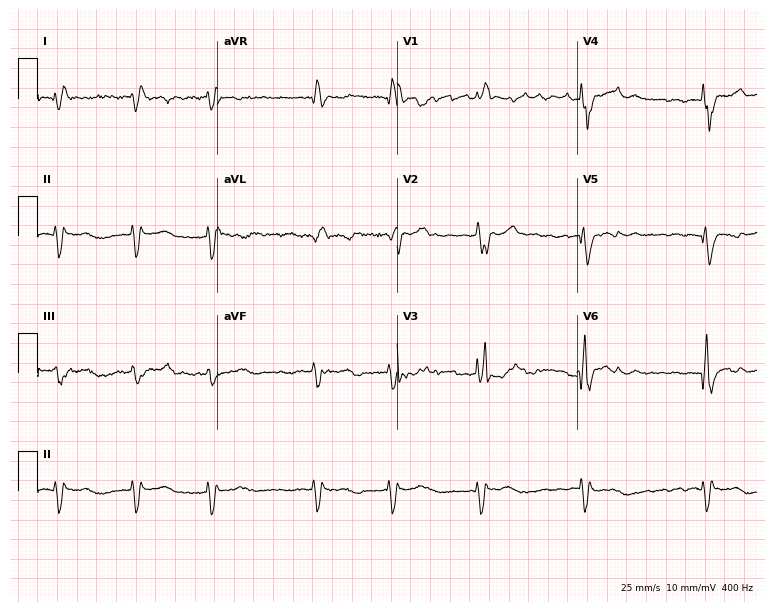
Resting 12-lead electrocardiogram (7.3-second recording at 400 Hz). Patient: a male, 58 years old. The tracing shows right bundle branch block, atrial fibrillation.